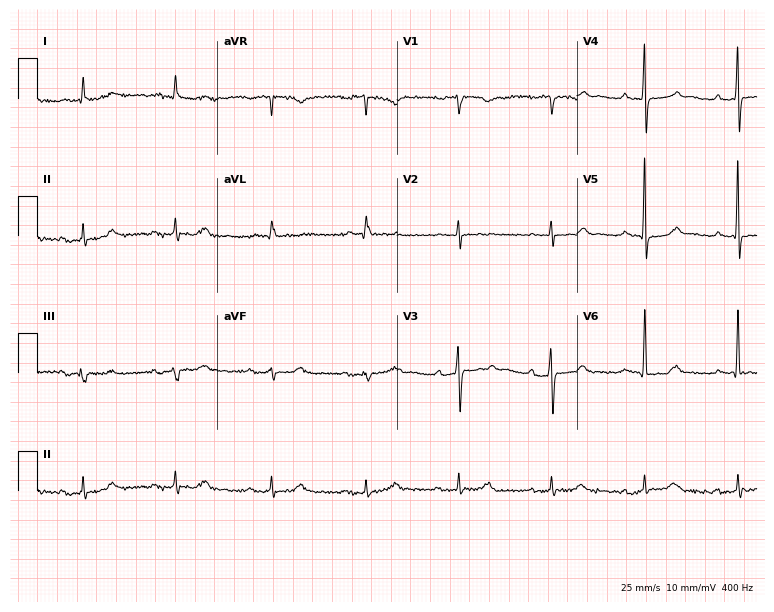
Standard 12-lead ECG recorded from a 76-year-old male patient (7.3-second recording at 400 Hz). The tracing shows first-degree AV block.